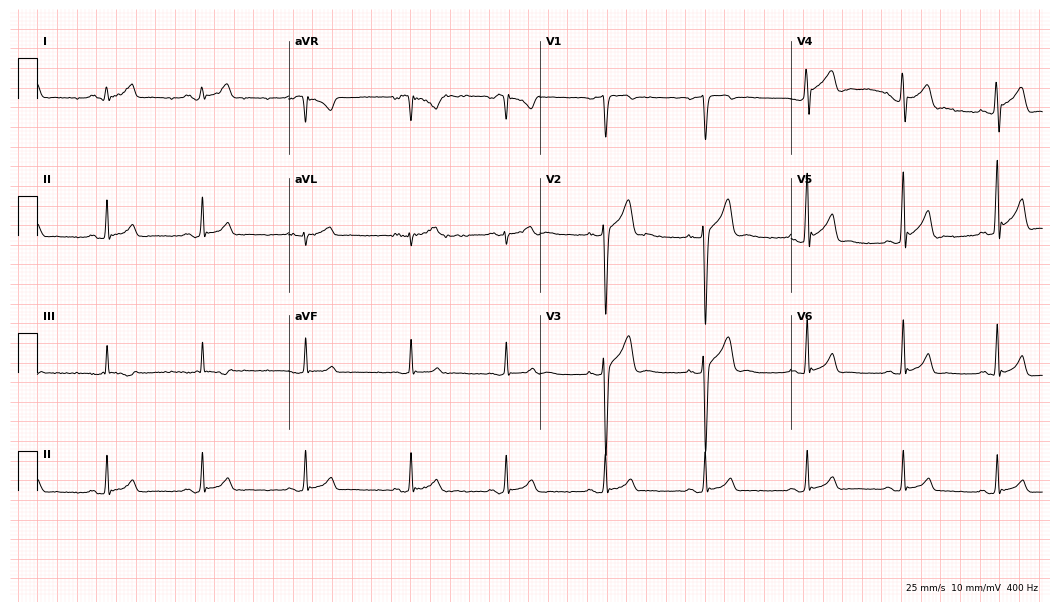
12-lead ECG from a male patient, 26 years old. Screened for six findings — first-degree AV block, right bundle branch block (RBBB), left bundle branch block (LBBB), sinus bradycardia, atrial fibrillation (AF), sinus tachycardia — none is recorded. Other findings, if any, are not listed.